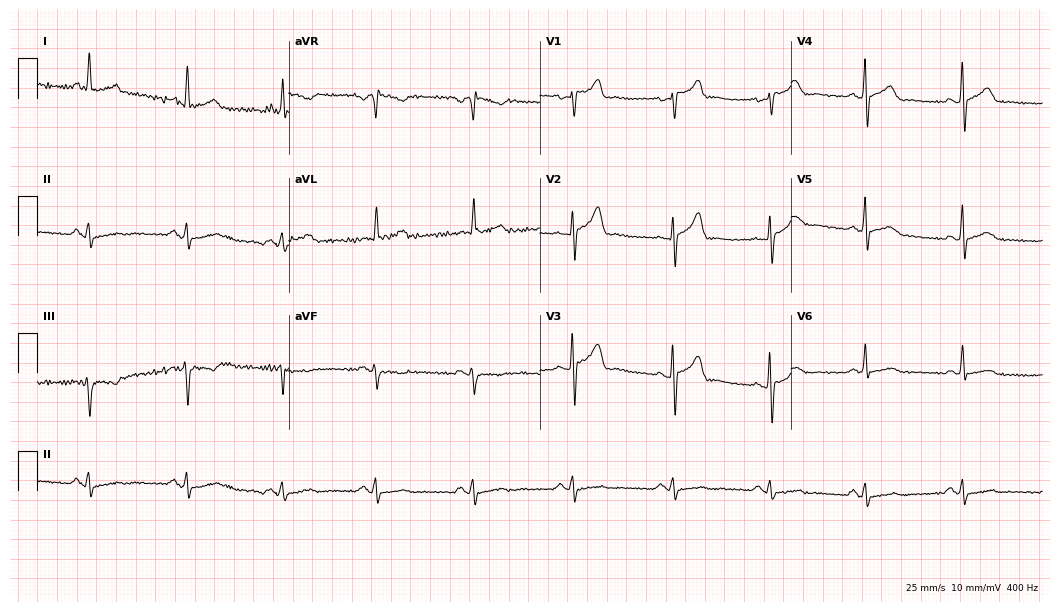
Resting 12-lead electrocardiogram (10.2-second recording at 400 Hz). Patient: a man, 50 years old. None of these six findings is recorded: first-degree AV block, right bundle branch block, left bundle branch block, sinus bradycardia, atrial fibrillation, sinus tachycardia.